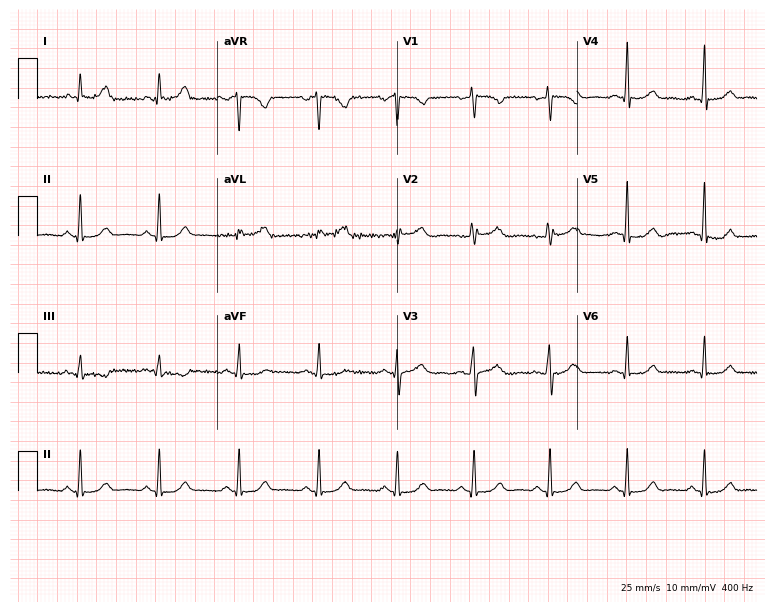
12-lead ECG from a woman, 48 years old. No first-degree AV block, right bundle branch block (RBBB), left bundle branch block (LBBB), sinus bradycardia, atrial fibrillation (AF) or sinus tachycardia recorded for this tracing. Other findings, if any, are not listed.